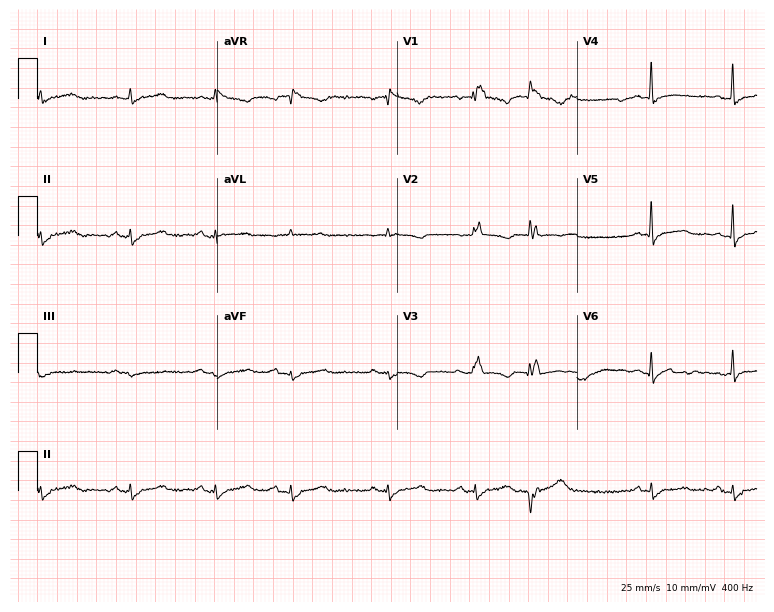
12-lead ECG from a 78-year-old female patient. Findings include right bundle branch block.